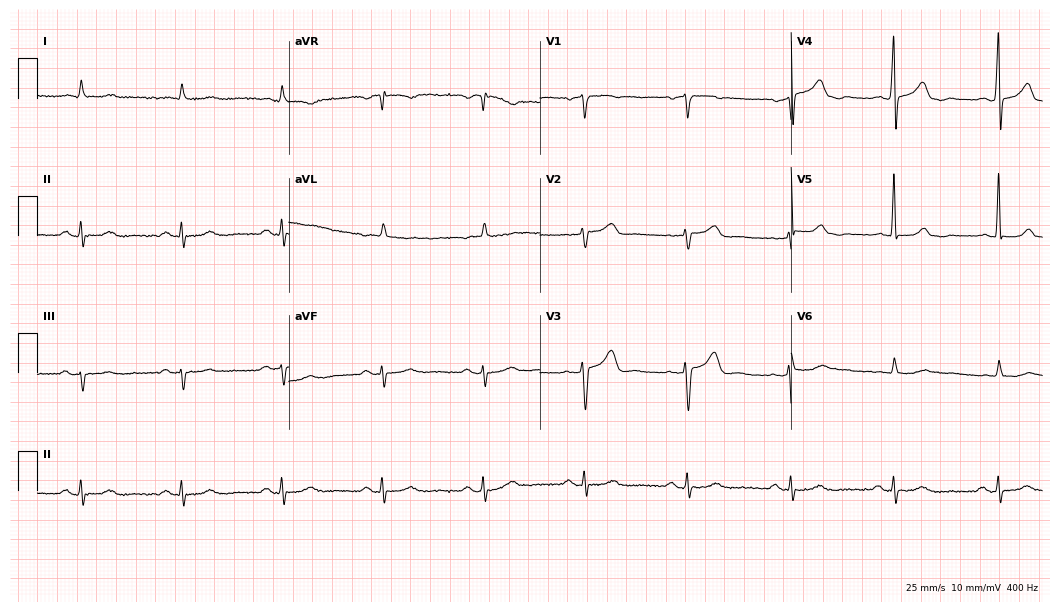
12-lead ECG from a male patient, 72 years old (10.2-second recording at 400 Hz). No first-degree AV block, right bundle branch block, left bundle branch block, sinus bradycardia, atrial fibrillation or sinus tachycardia recorded for this tracing. Other findings, if any, are not listed.